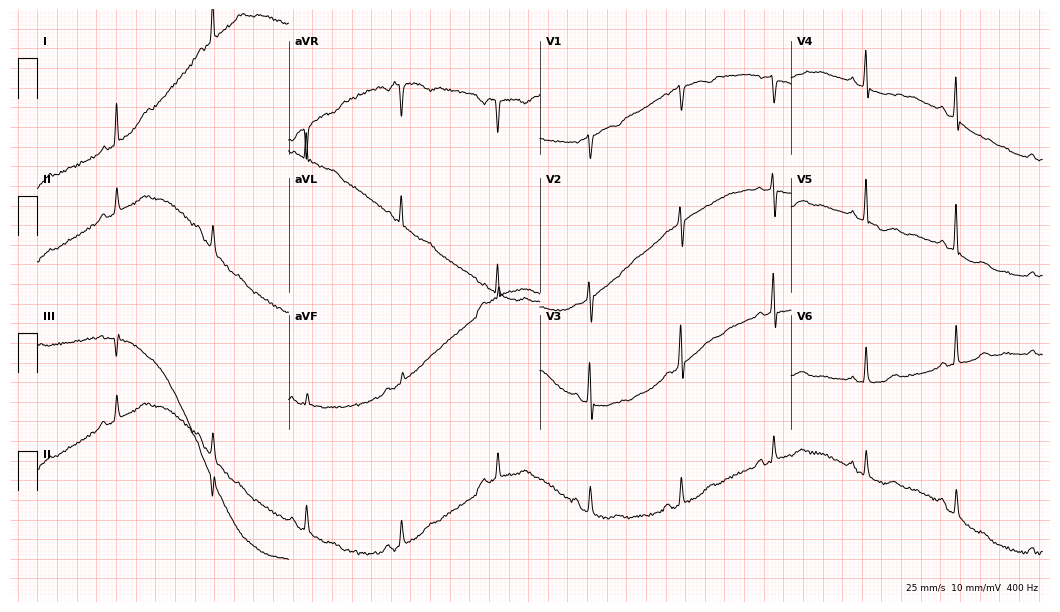
Resting 12-lead electrocardiogram. Patient: a 63-year-old female. None of these six findings is recorded: first-degree AV block, right bundle branch block, left bundle branch block, sinus bradycardia, atrial fibrillation, sinus tachycardia. Other findings, if any, are not listed.